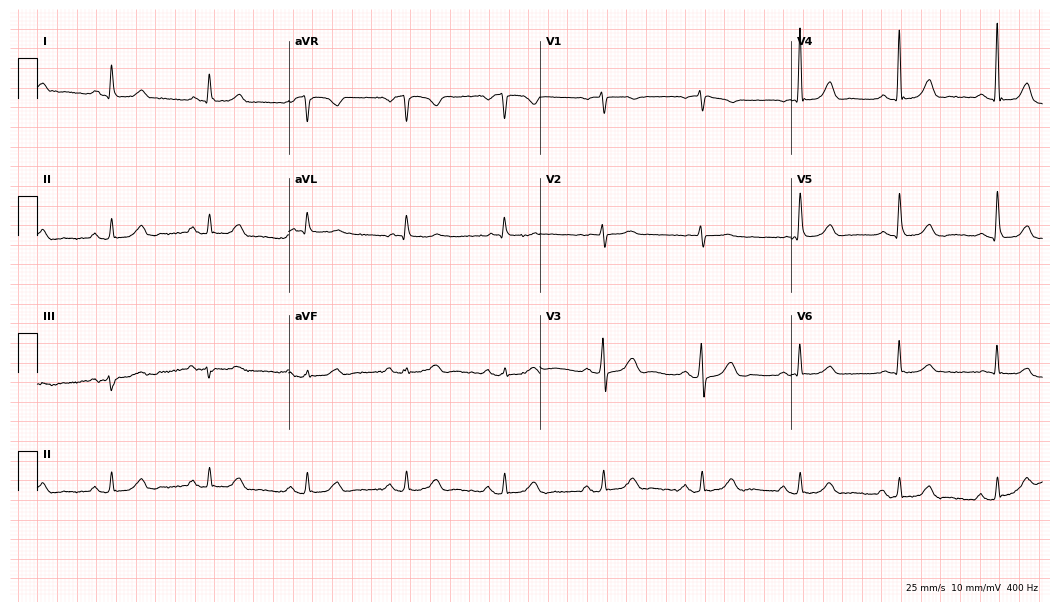
12-lead ECG from a woman, 69 years old. Recorded interpretation: within normal limits.